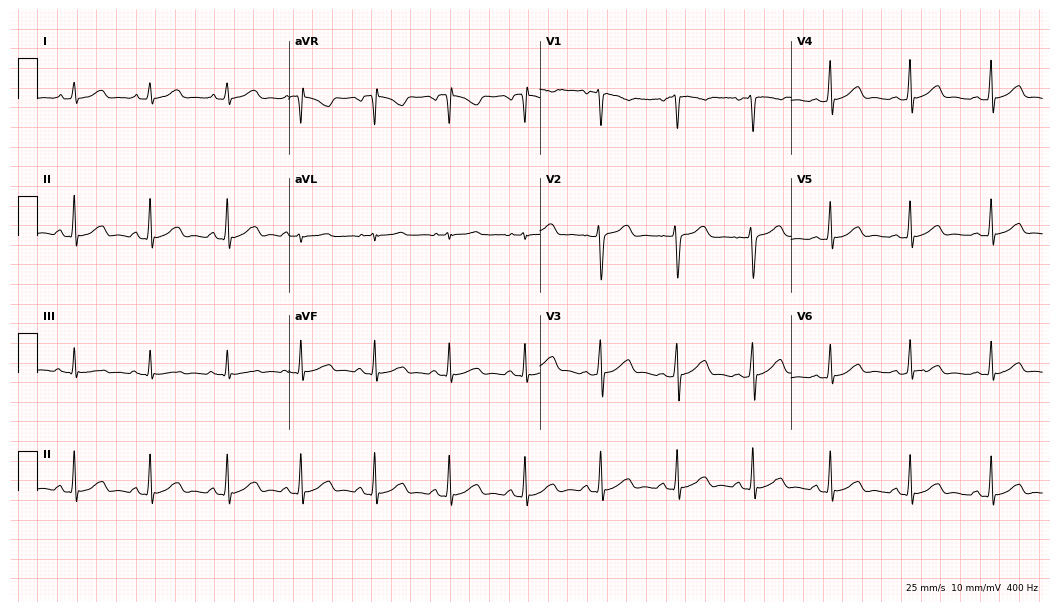
ECG — a female patient, 21 years old. Labelled as a normal ECG.